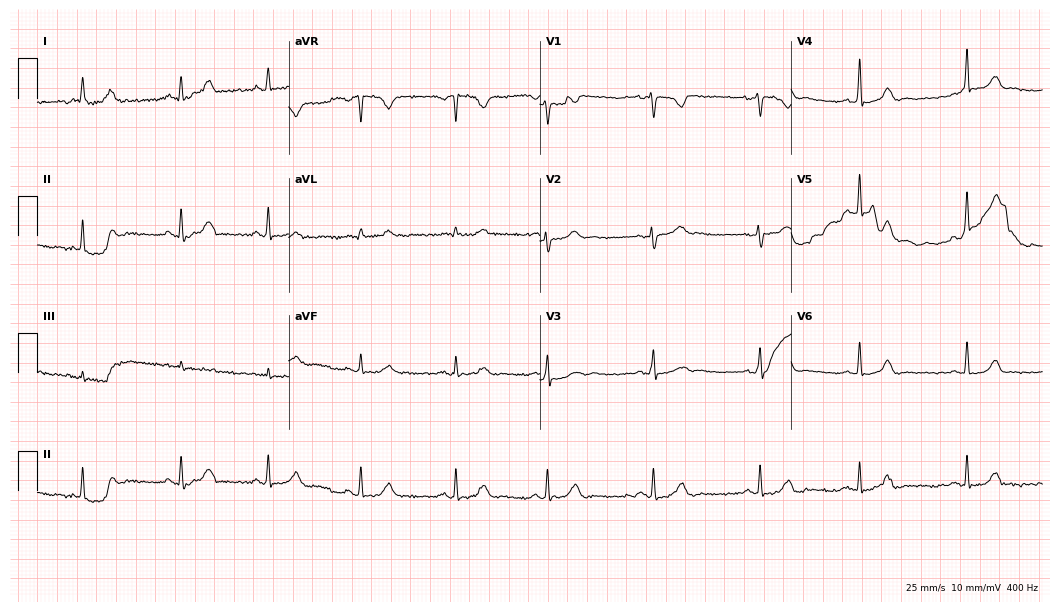
12-lead ECG (10.2-second recording at 400 Hz) from a female, 40 years old. Labelled as a normal ECG.